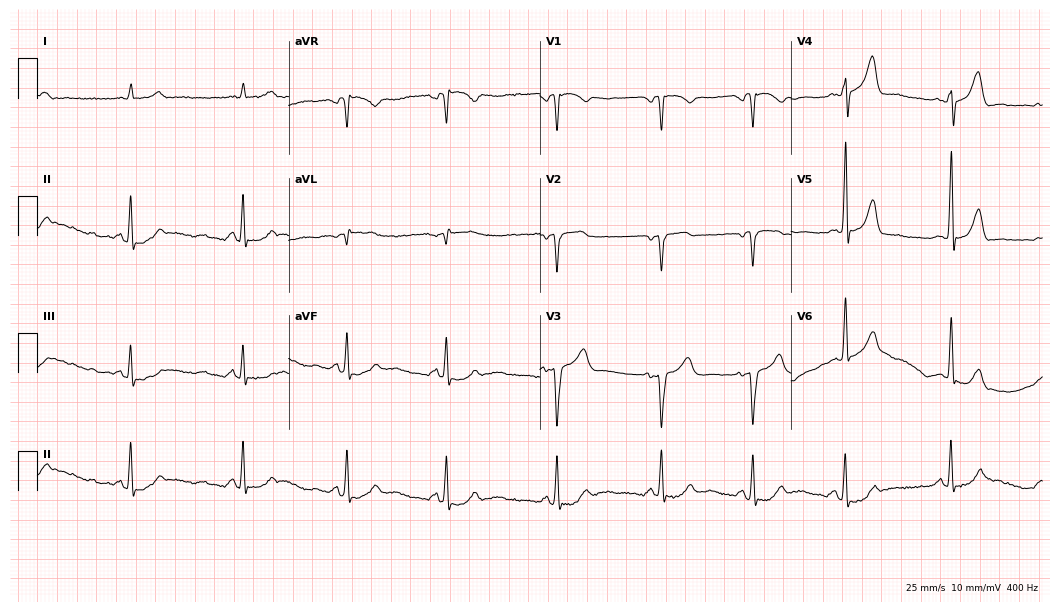
12-lead ECG (10.2-second recording at 400 Hz) from a male, 61 years old. Labelled as a normal ECG.